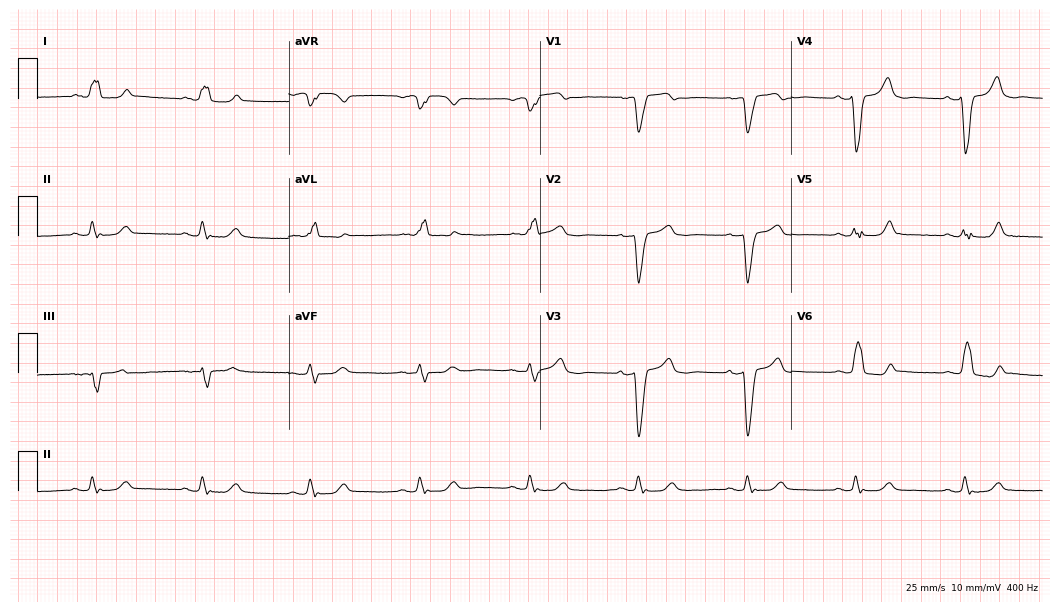
Resting 12-lead electrocardiogram. Patient: a female, 79 years old. The tracing shows left bundle branch block.